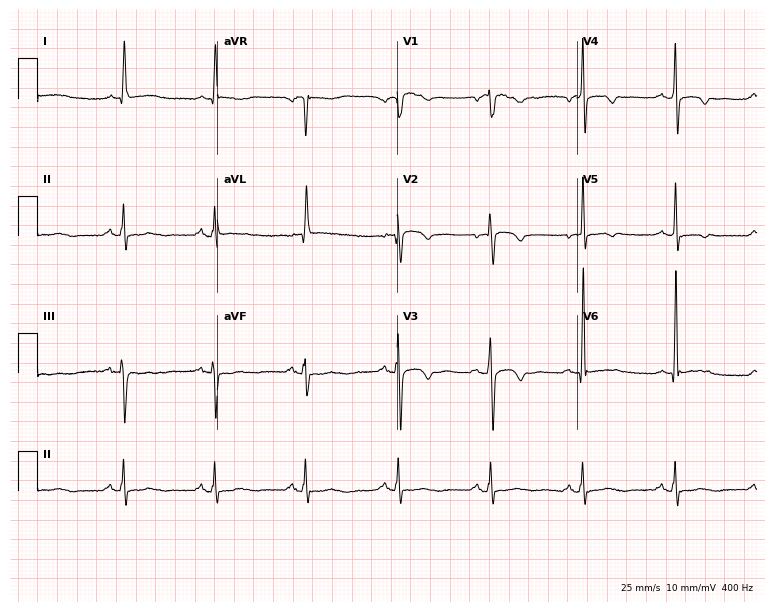
Standard 12-lead ECG recorded from an 86-year-old female. None of these six findings is recorded: first-degree AV block, right bundle branch block (RBBB), left bundle branch block (LBBB), sinus bradycardia, atrial fibrillation (AF), sinus tachycardia.